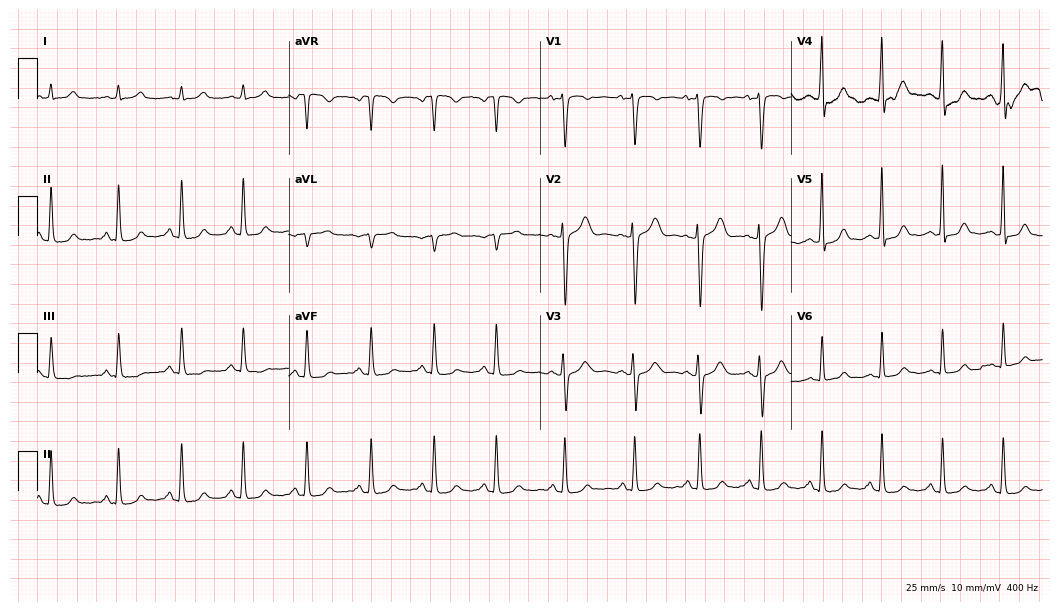
12-lead ECG (10.2-second recording at 400 Hz) from a 27-year-old woman. Labelled as a normal ECG.